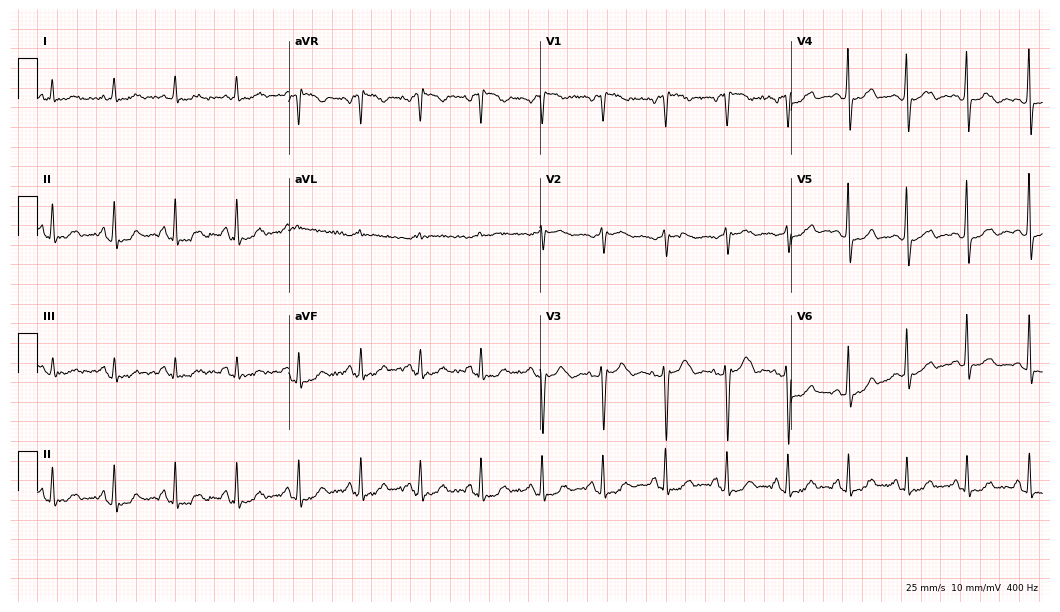
Standard 12-lead ECG recorded from a 78-year-old female patient (10.2-second recording at 400 Hz). None of these six findings is recorded: first-degree AV block, right bundle branch block, left bundle branch block, sinus bradycardia, atrial fibrillation, sinus tachycardia. Other findings, if any, are not listed.